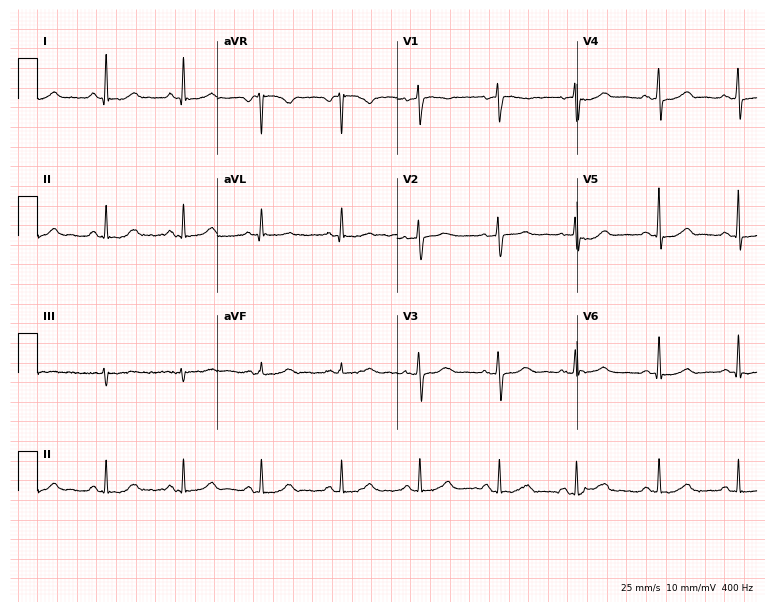
12-lead ECG from a female, 63 years old. Labelled as a normal ECG.